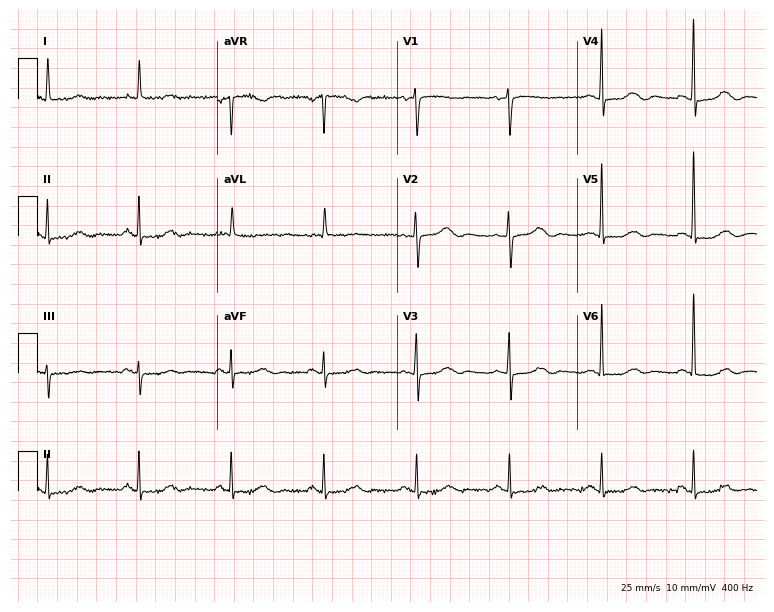
Standard 12-lead ECG recorded from a female, 78 years old. Read as a normal ECG.